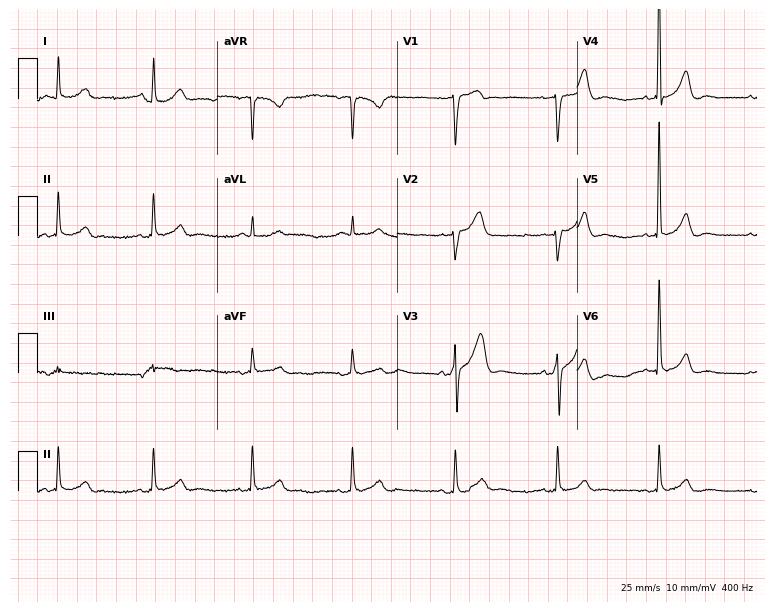
Resting 12-lead electrocardiogram (7.3-second recording at 400 Hz). Patient: a 62-year-old man. Read as a normal ECG.